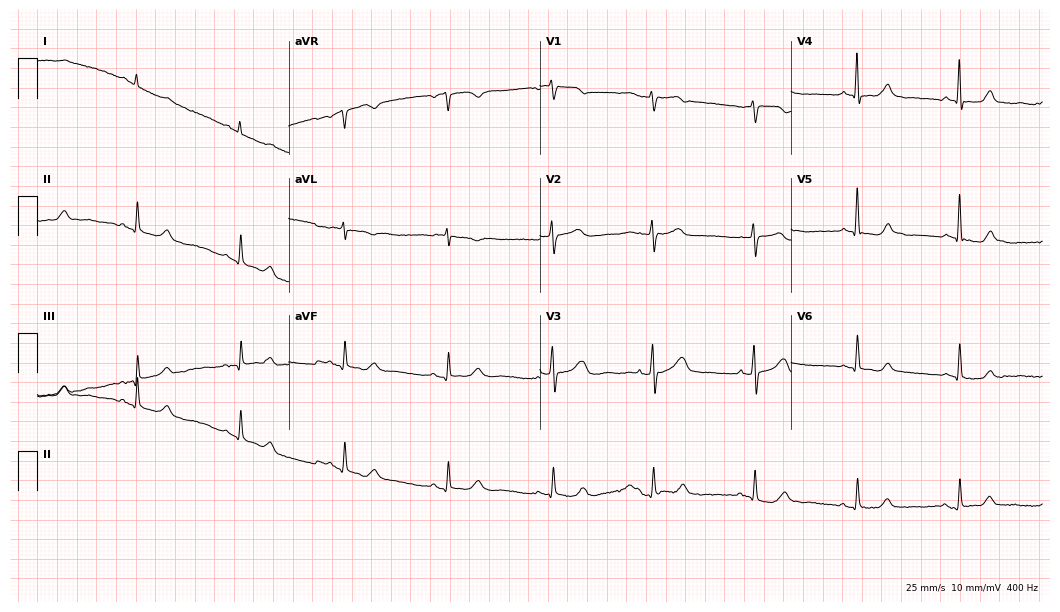
Electrocardiogram (10.2-second recording at 400 Hz), a 78-year-old woman. Overall reading on record: normal ECG.